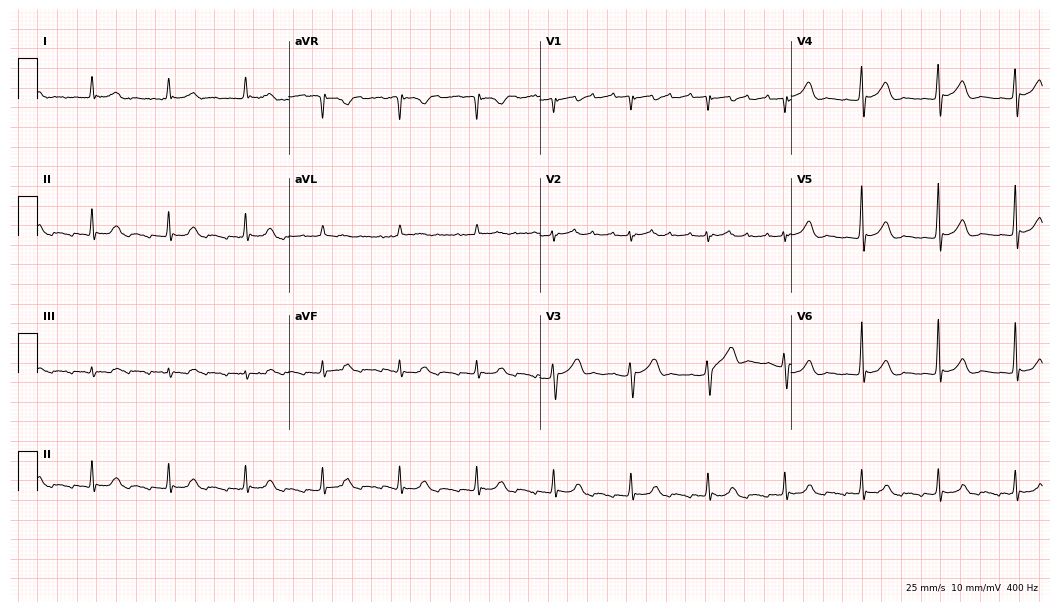
Electrocardiogram, a 72-year-old male patient. Of the six screened findings (first-degree AV block, right bundle branch block, left bundle branch block, sinus bradycardia, atrial fibrillation, sinus tachycardia), none is recorded. Findings outside these six are not listed.